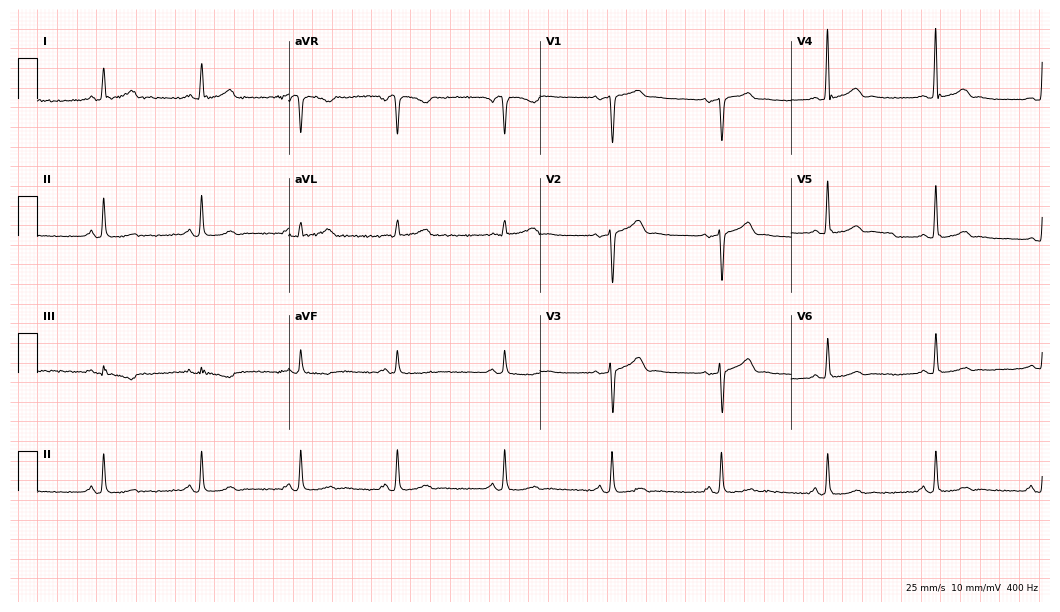
Resting 12-lead electrocardiogram. Patient: a female, 29 years old. None of these six findings is recorded: first-degree AV block, right bundle branch block, left bundle branch block, sinus bradycardia, atrial fibrillation, sinus tachycardia. Only these six findings were labelled.